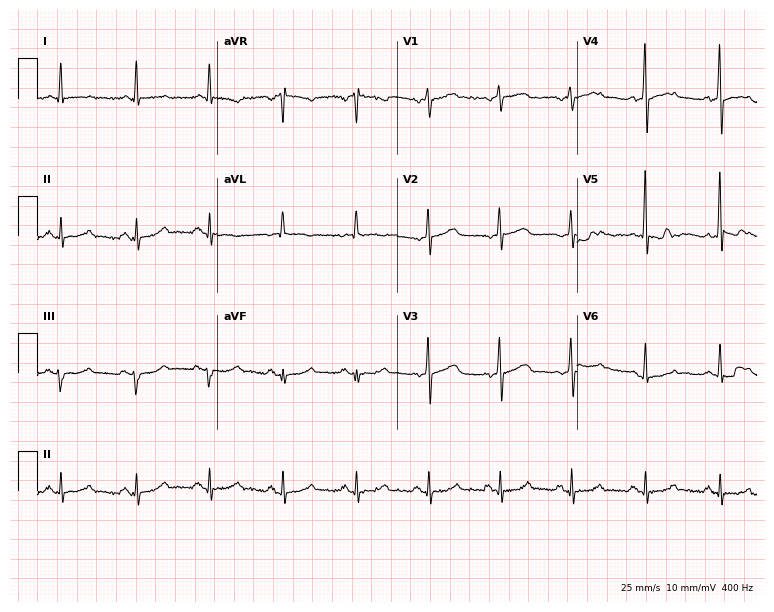
Resting 12-lead electrocardiogram. Patient: a female, 60 years old. Read as a normal ECG.